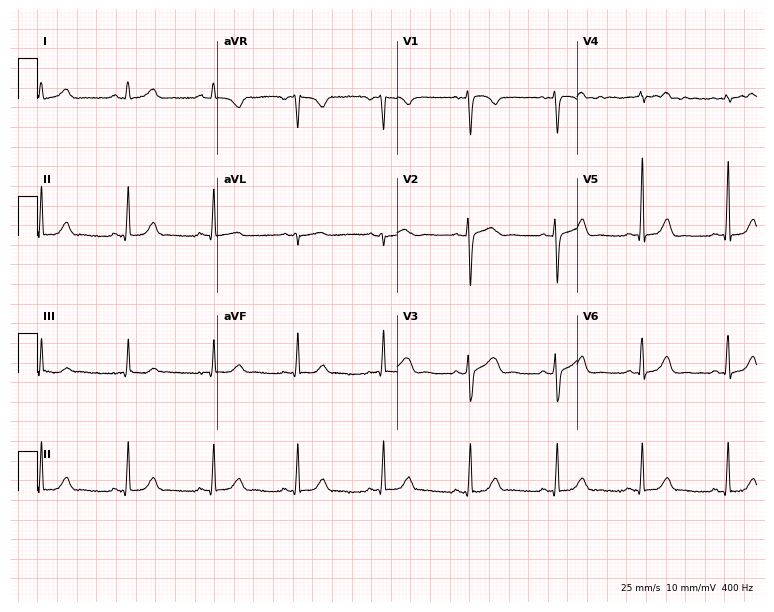
ECG — a 36-year-old female patient. Labelled as a normal ECG.